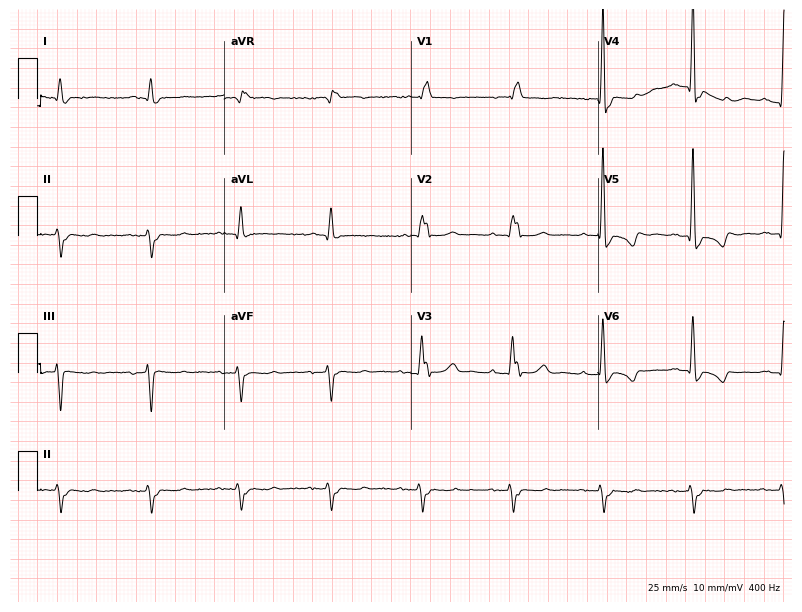
12-lead ECG from an 82-year-old male patient. Findings include right bundle branch block.